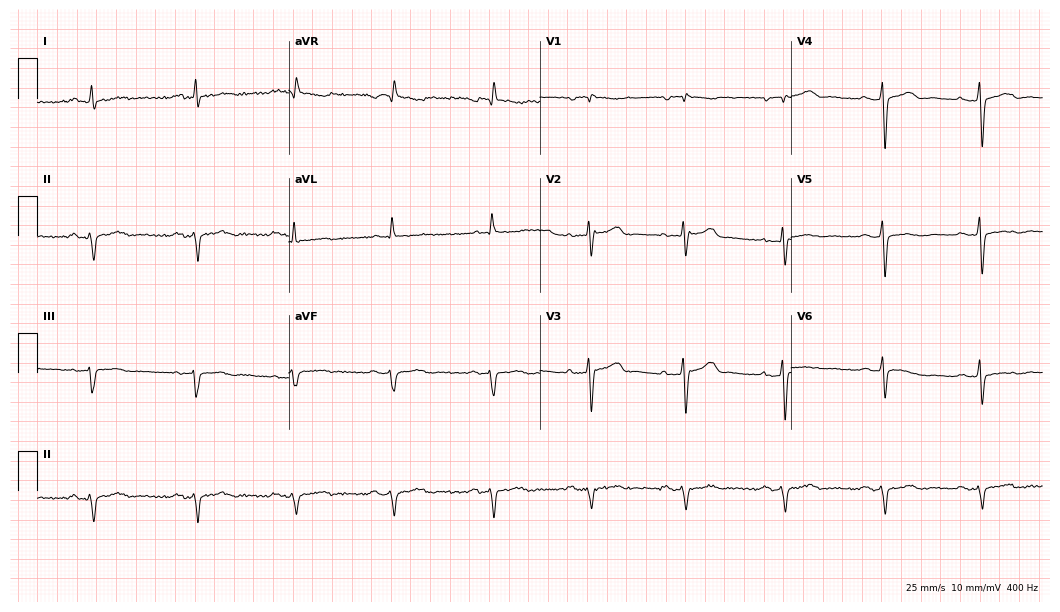
Standard 12-lead ECG recorded from a male, 64 years old (10.2-second recording at 400 Hz). None of these six findings is recorded: first-degree AV block, right bundle branch block (RBBB), left bundle branch block (LBBB), sinus bradycardia, atrial fibrillation (AF), sinus tachycardia.